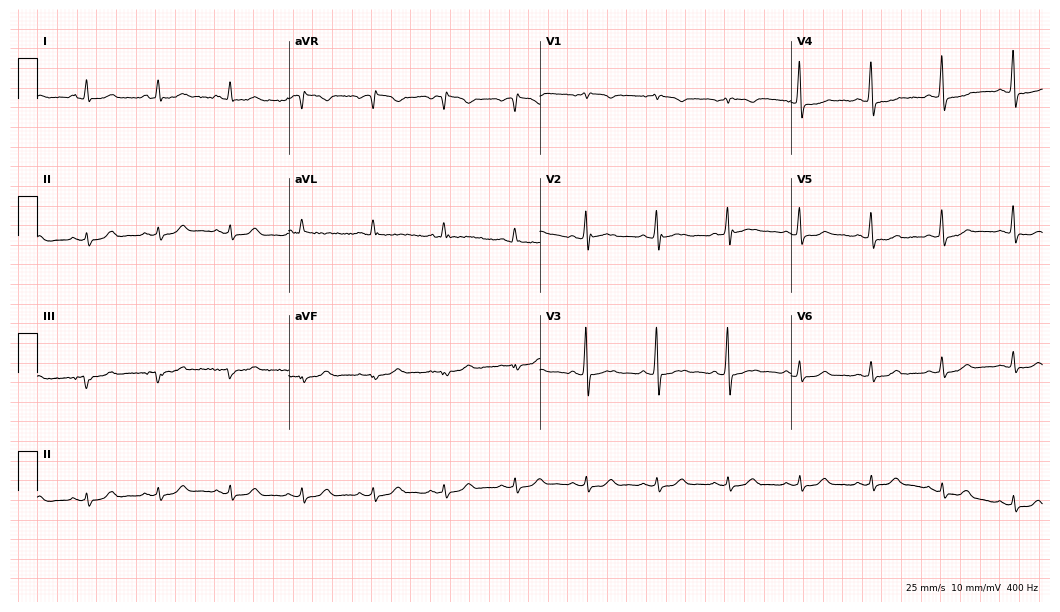
12-lead ECG (10.2-second recording at 400 Hz) from a 62-year-old female. Screened for six findings — first-degree AV block, right bundle branch block, left bundle branch block, sinus bradycardia, atrial fibrillation, sinus tachycardia — none is recorded.